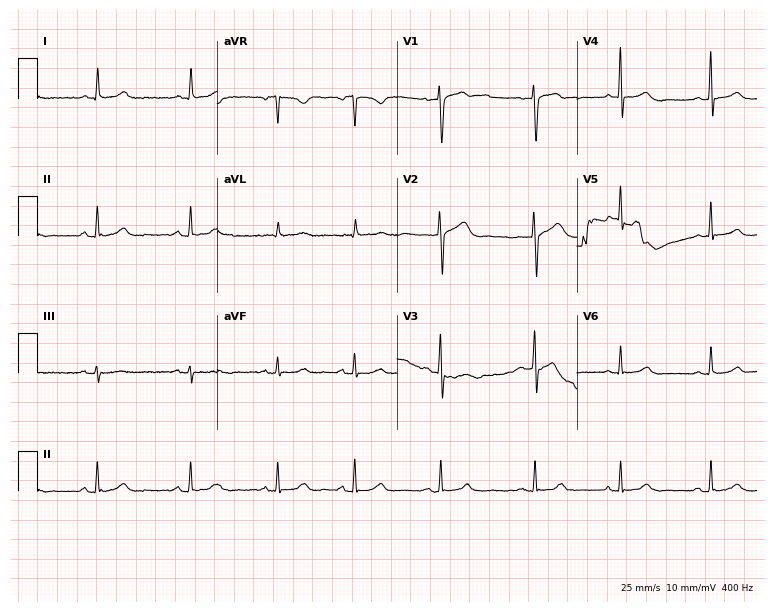
12-lead ECG from a female patient, 46 years old. Recorded interpretation: within normal limits.